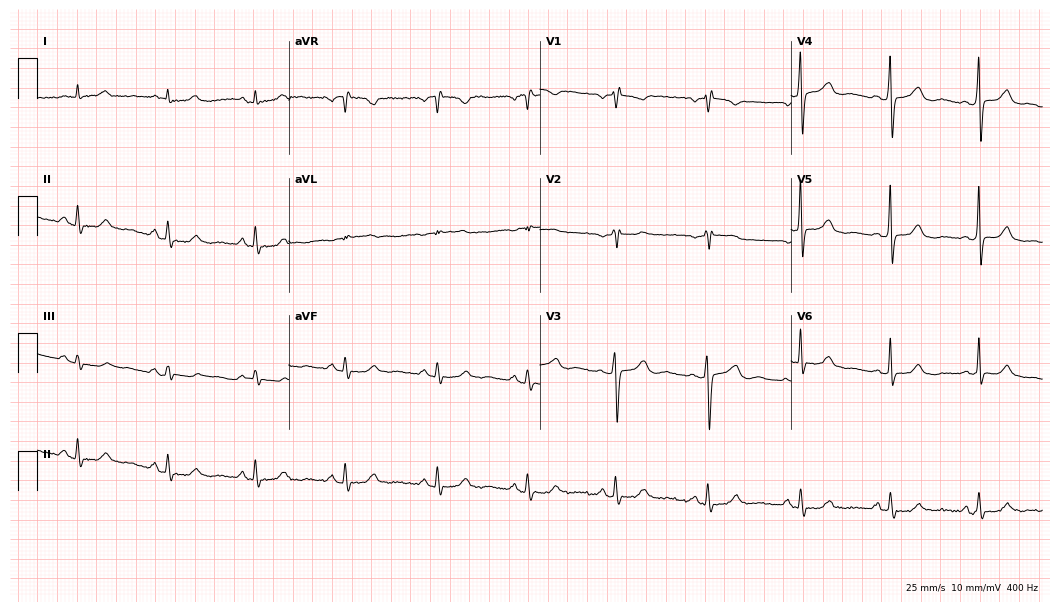
ECG — a 52-year-old woman. Screened for six findings — first-degree AV block, right bundle branch block (RBBB), left bundle branch block (LBBB), sinus bradycardia, atrial fibrillation (AF), sinus tachycardia — none is recorded. Findings outside these six are not listed.